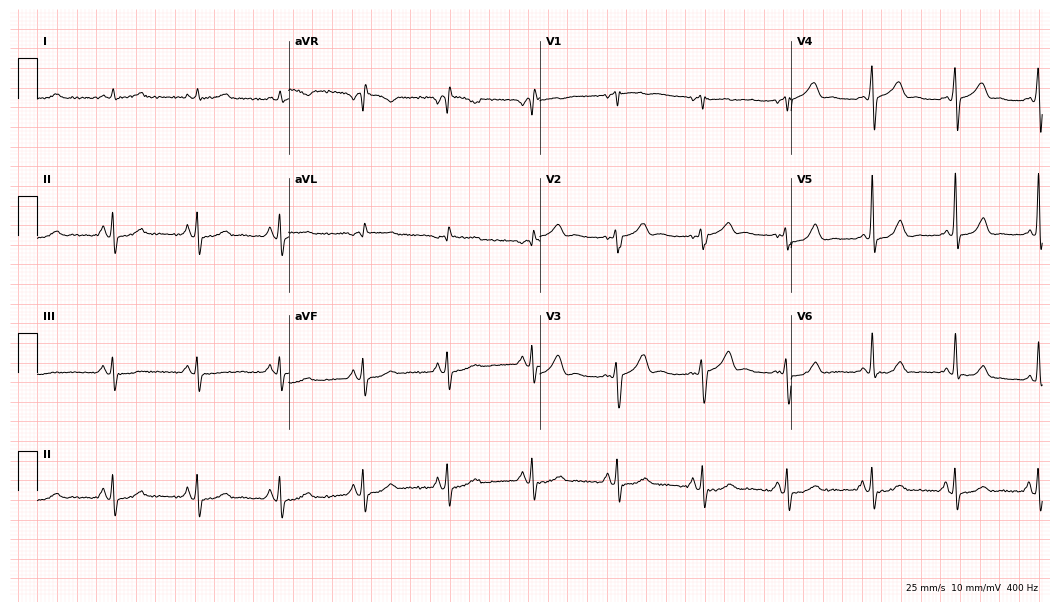
Resting 12-lead electrocardiogram (10.2-second recording at 400 Hz). Patient: a man, 68 years old. None of these six findings is recorded: first-degree AV block, right bundle branch block (RBBB), left bundle branch block (LBBB), sinus bradycardia, atrial fibrillation (AF), sinus tachycardia.